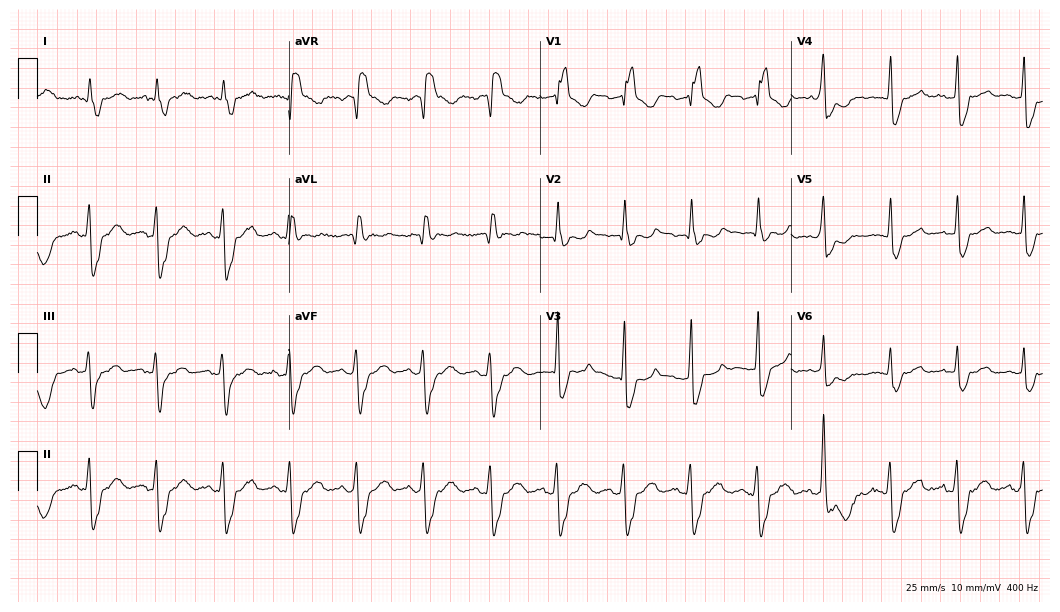
Resting 12-lead electrocardiogram (10.2-second recording at 400 Hz). Patient: a male, 51 years old. The tracing shows right bundle branch block.